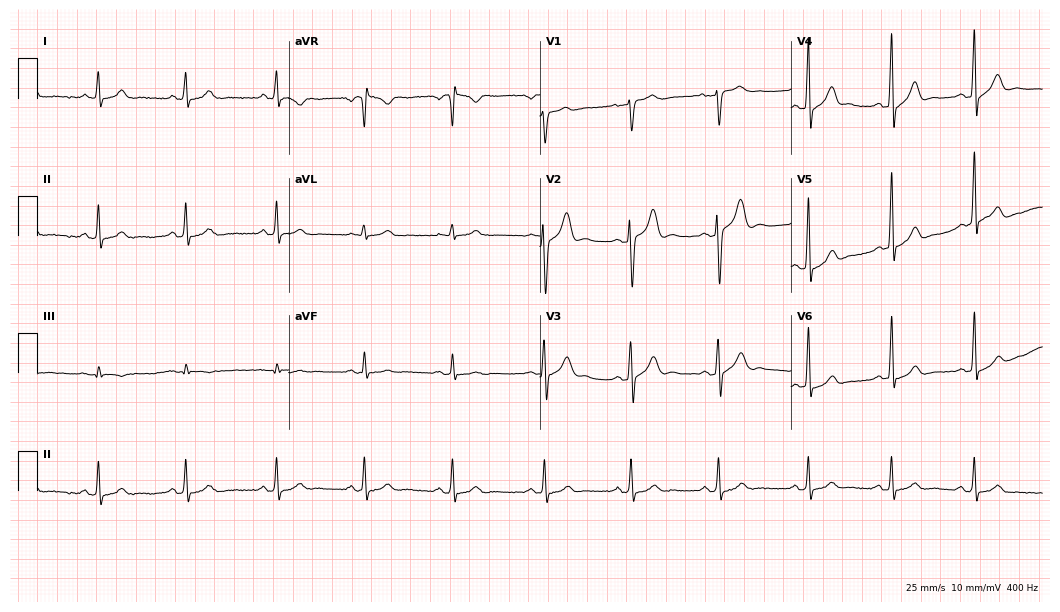
12-lead ECG (10.2-second recording at 400 Hz) from a man, 27 years old. Screened for six findings — first-degree AV block, right bundle branch block, left bundle branch block, sinus bradycardia, atrial fibrillation, sinus tachycardia — none is recorded.